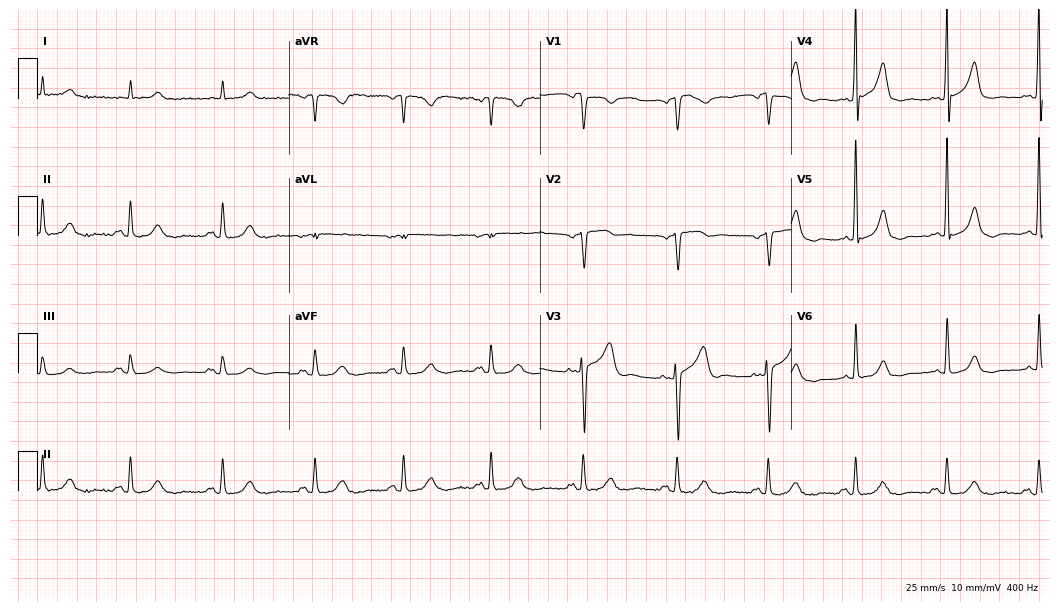
12-lead ECG from a male, 69 years old. Labelled as a normal ECG.